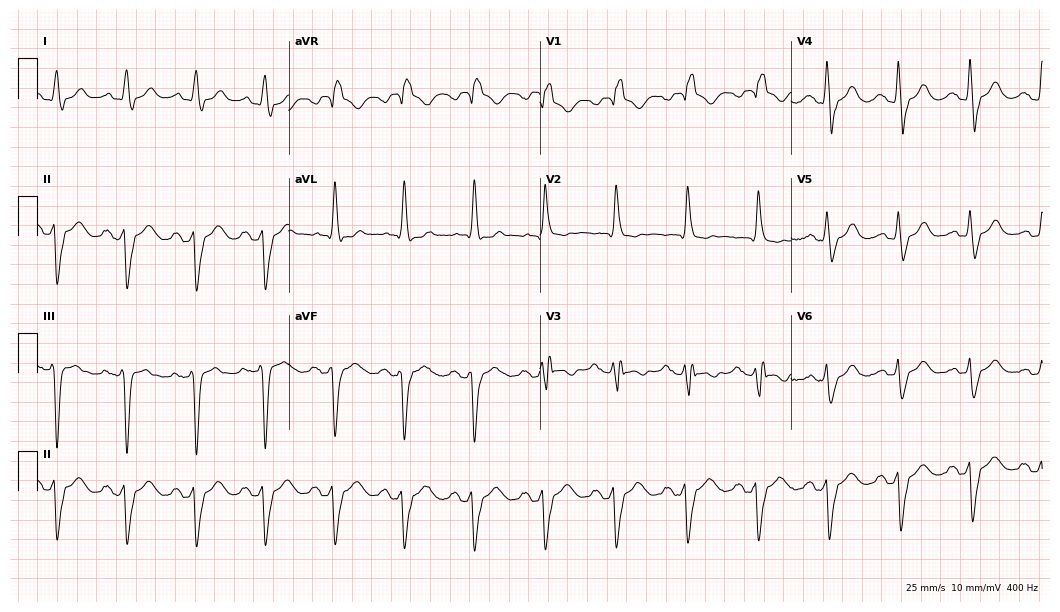
12-lead ECG (10.2-second recording at 400 Hz) from a female patient, 72 years old. Findings include right bundle branch block (RBBB).